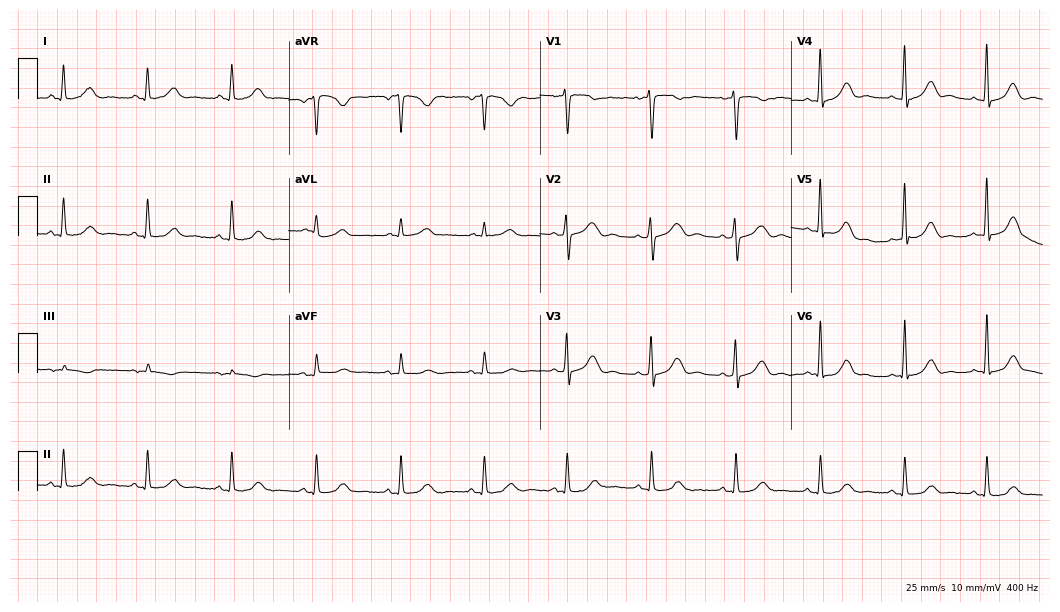
Resting 12-lead electrocardiogram. Patient: a 53-year-old woman. Read as a normal ECG.